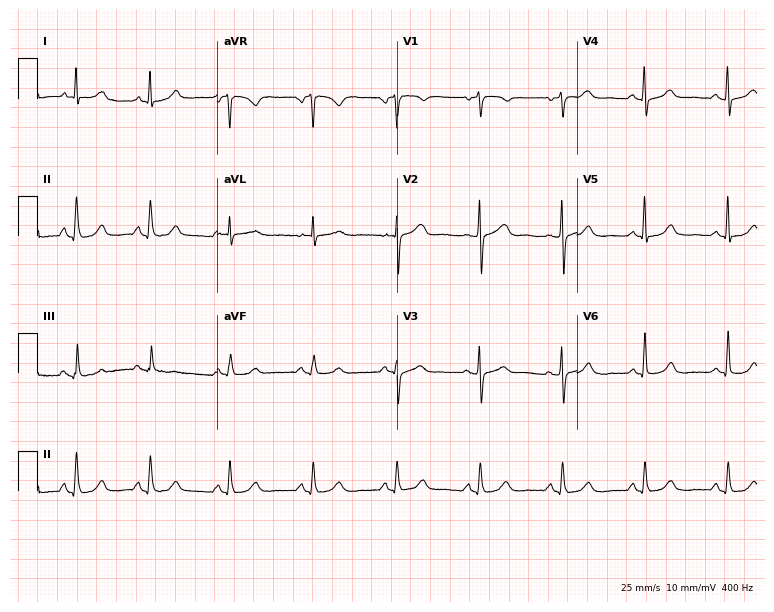
12-lead ECG (7.3-second recording at 400 Hz) from a female patient, 66 years old. Labelled as a normal ECG.